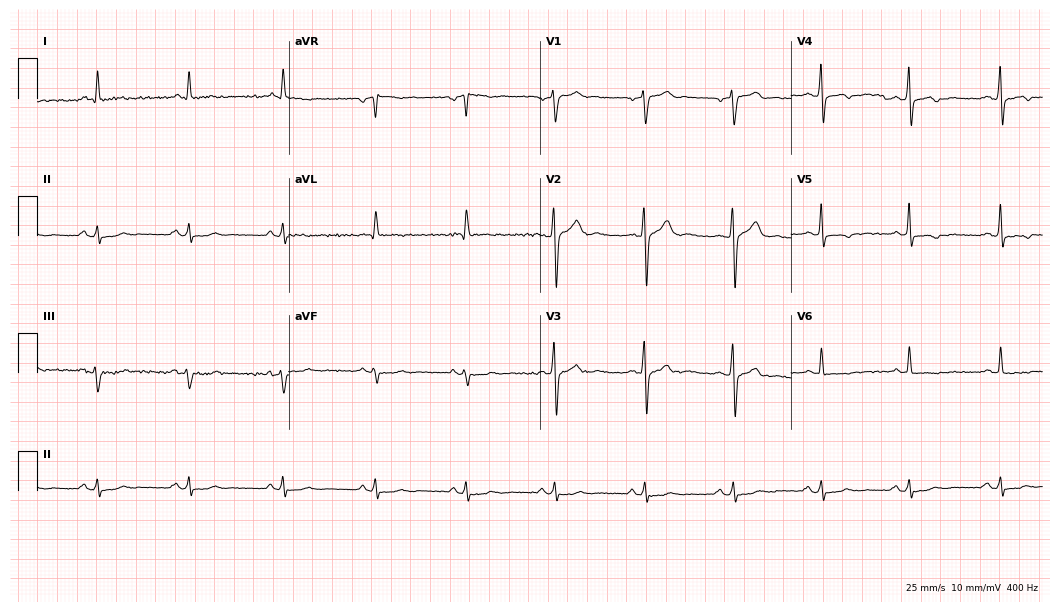
Resting 12-lead electrocardiogram. Patient: a male, 61 years old. None of these six findings is recorded: first-degree AV block, right bundle branch block, left bundle branch block, sinus bradycardia, atrial fibrillation, sinus tachycardia.